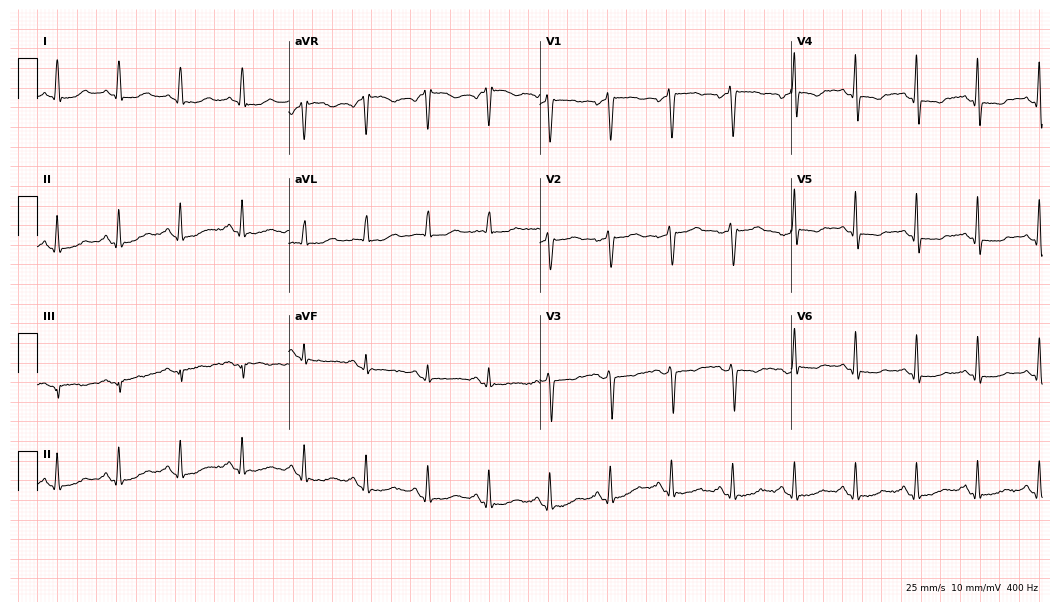
12-lead ECG from a woman, 51 years old (10.2-second recording at 400 Hz). No first-degree AV block, right bundle branch block, left bundle branch block, sinus bradycardia, atrial fibrillation or sinus tachycardia recorded for this tracing. Other findings, if any, are not listed.